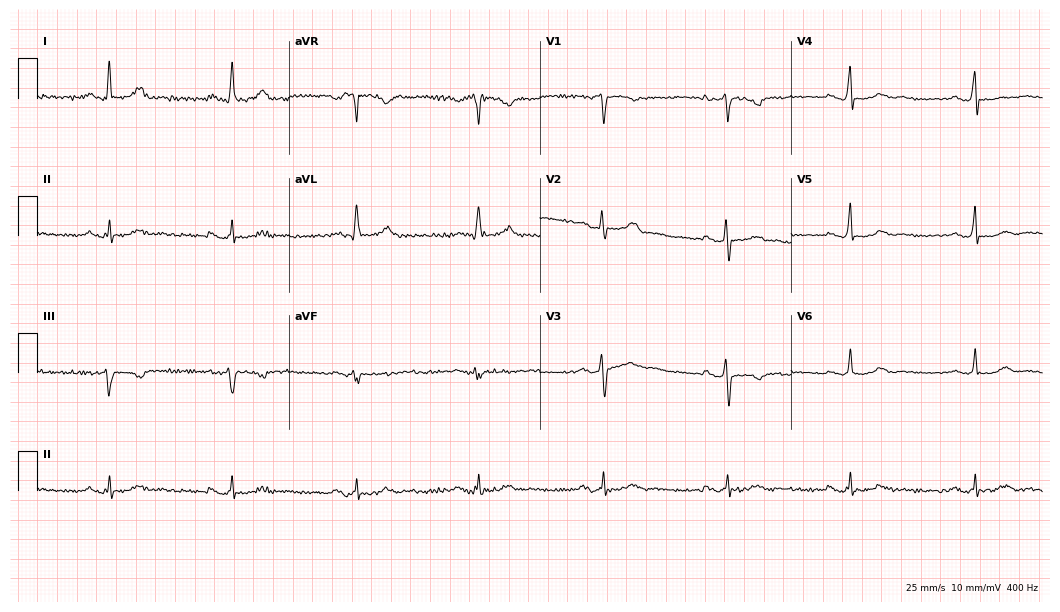
Electrocardiogram, a 54-year-old female. Interpretation includes sinus bradycardia (a sinus rate of 50 beats per minute or less).